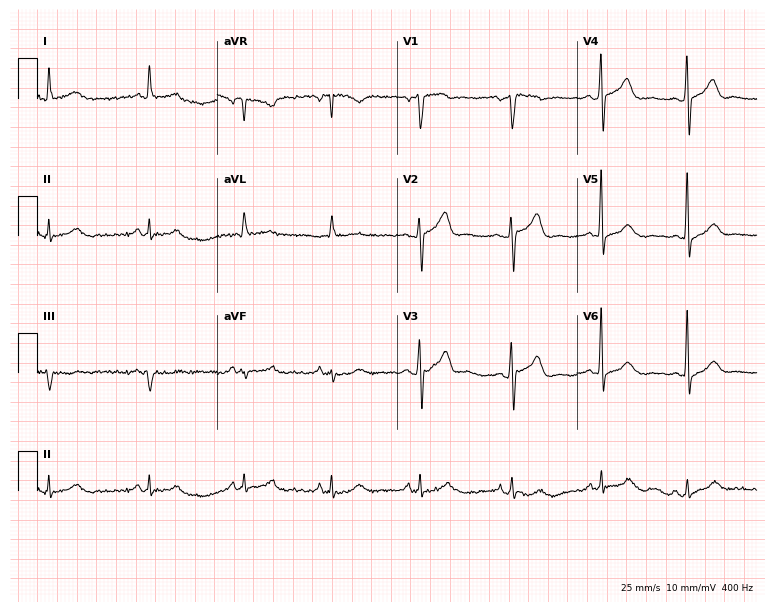
Standard 12-lead ECG recorded from a man, 74 years old. None of these six findings is recorded: first-degree AV block, right bundle branch block (RBBB), left bundle branch block (LBBB), sinus bradycardia, atrial fibrillation (AF), sinus tachycardia.